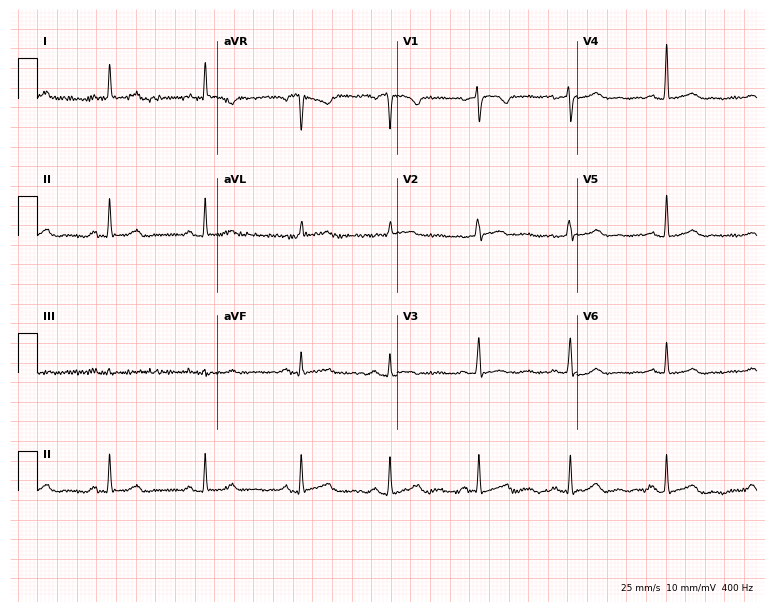
12-lead ECG (7.3-second recording at 400 Hz) from a woman, 56 years old. Labelled as a normal ECG.